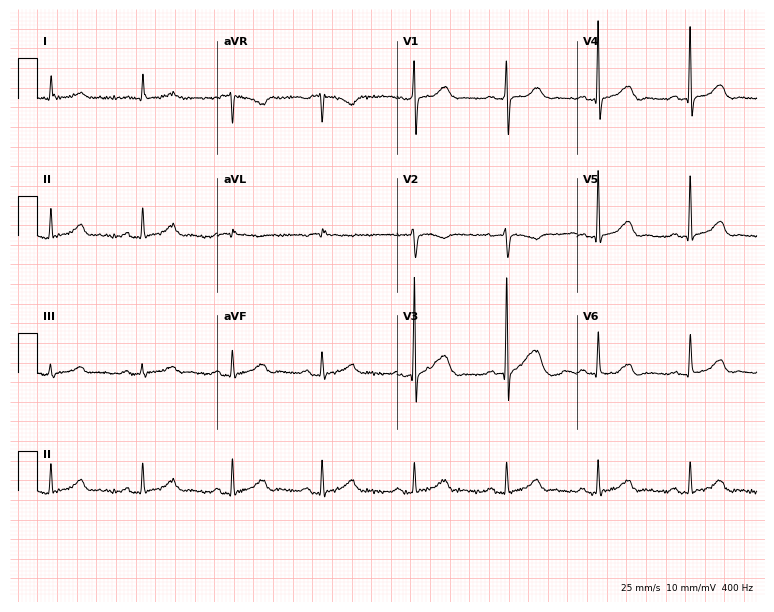
Resting 12-lead electrocardiogram. Patient: a 79-year-old woman. Read as a normal ECG.